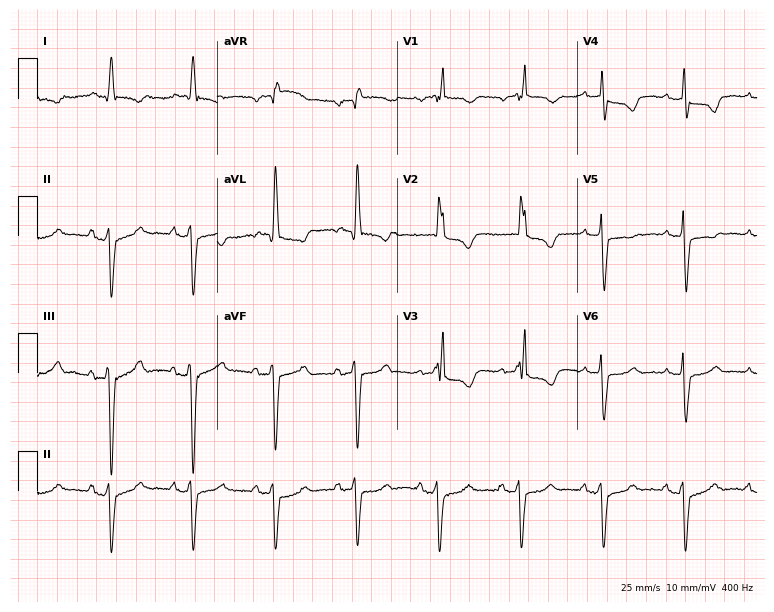
12-lead ECG from an 82-year-old woman. Findings include right bundle branch block (RBBB).